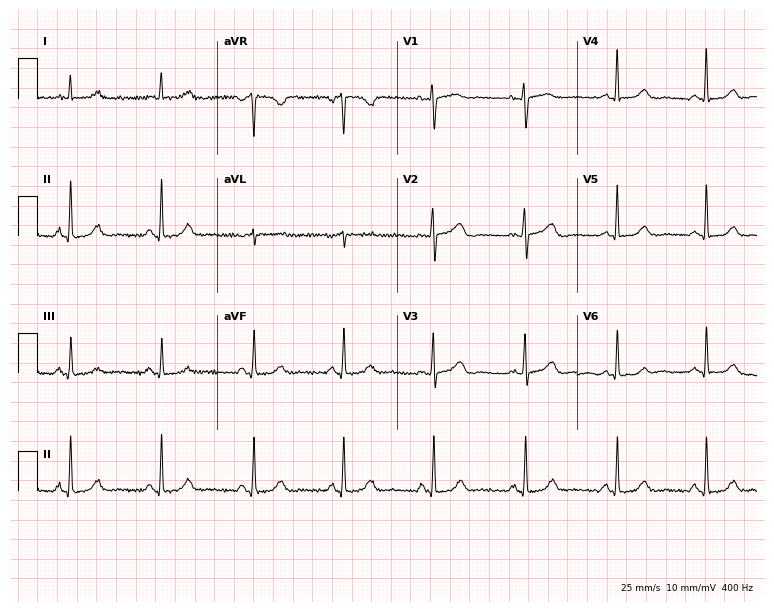
12-lead ECG (7.3-second recording at 400 Hz) from a woman, 72 years old. Screened for six findings — first-degree AV block, right bundle branch block, left bundle branch block, sinus bradycardia, atrial fibrillation, sinus tachycardia — none is recorded. Only these six findings were labelled.